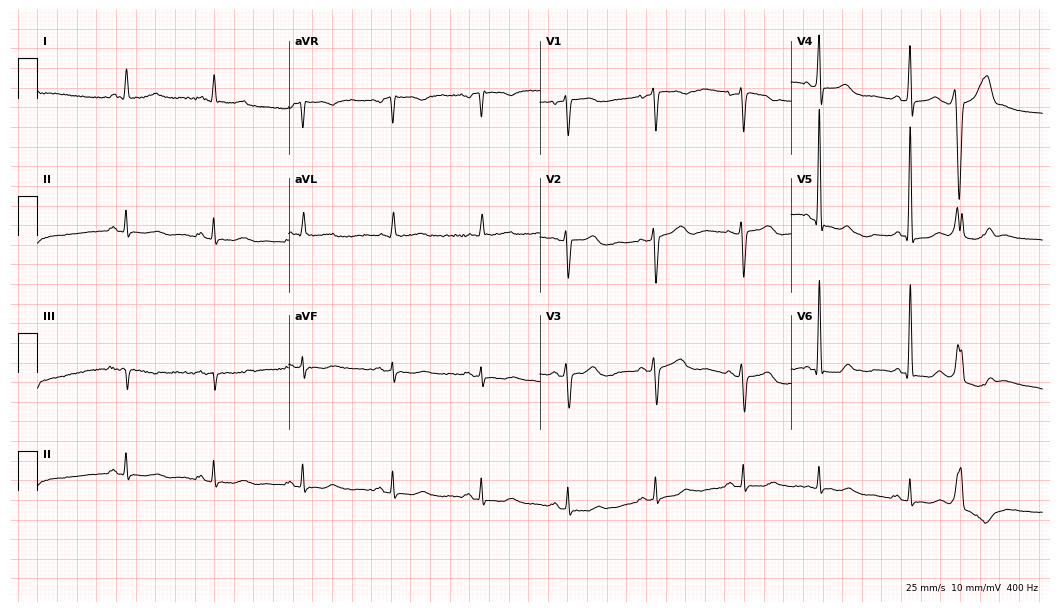
12-lead ECG from a 74-year-old woman. Screened for six findings — first-degree AV block, right bundle branch block, left bundle branch block, sinus bradycardia, atrial fibrillation, sinus tachycardia — none is recorded. Other findings, if any, are not listed.